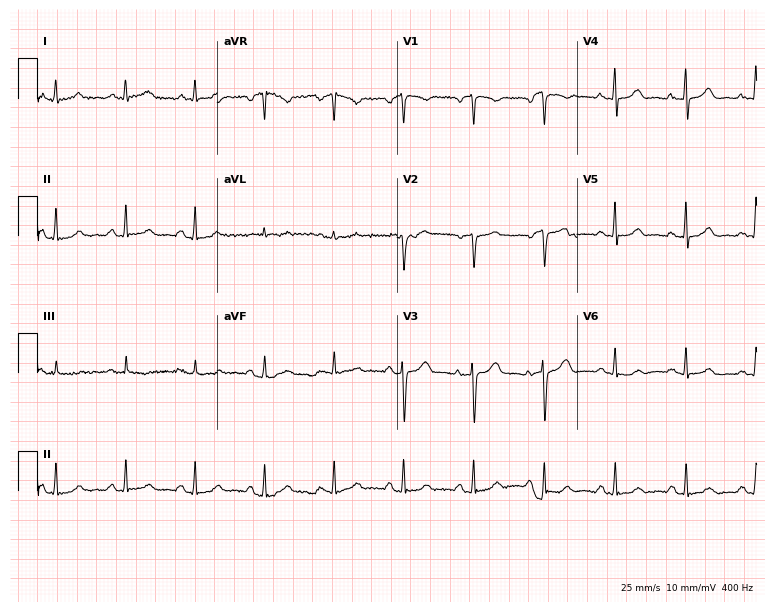
ECG (7.3-second recording at 400 Hz) — a 58-year-old woman. Labelled as a normal ECG.